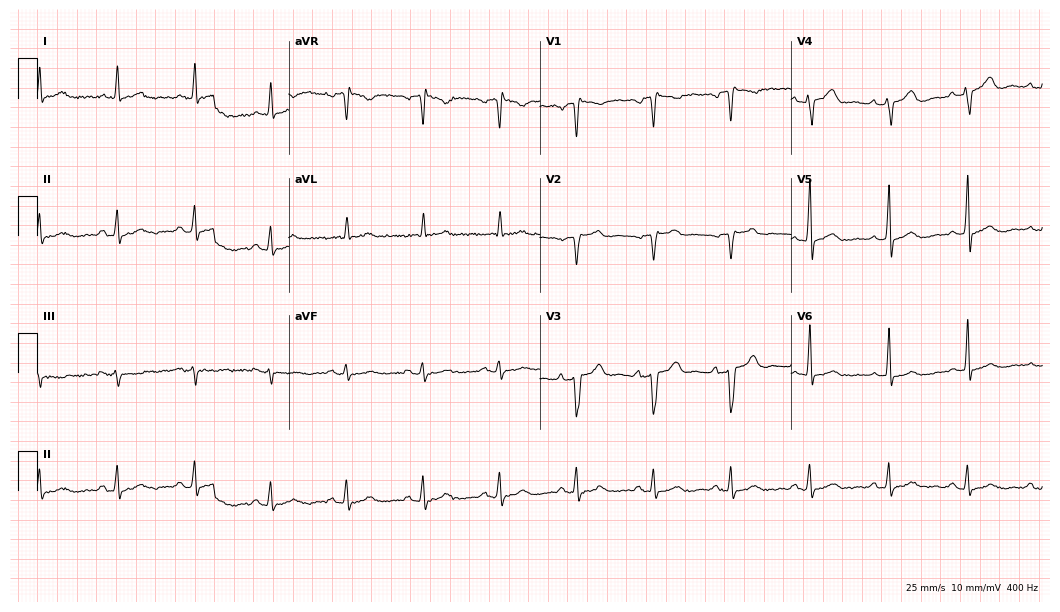
Electrocardiogram (10.2-second recording at 400 Hz), a 53-year-old male patient. Of the six screened findings (first-degree AV block, right bundle branch block (RBBB), left bundle branch block (LBBB), sinus bradycardia, atrial fibrillation (AF), sinus tachycardia), none is recorded. Other findings, if any, are not listed.